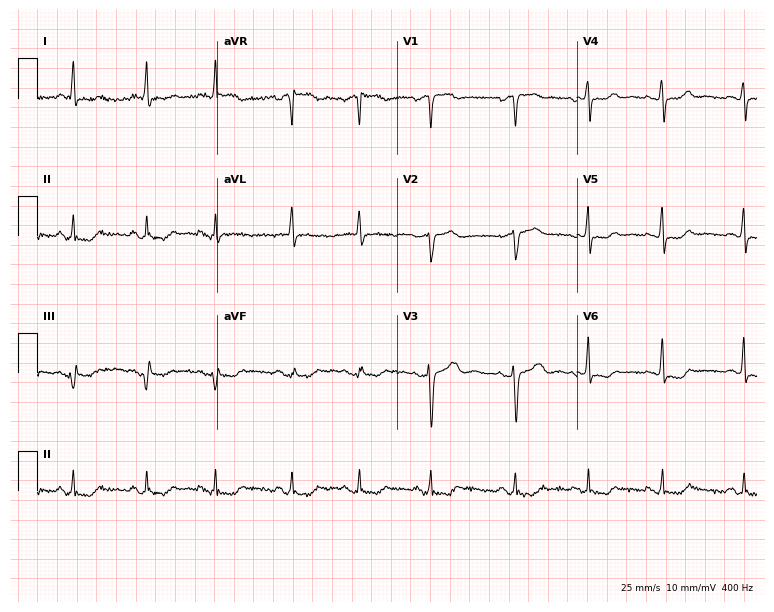
Electrocardiogram, a 49-year-old female patient. Of the six screened findings (first-degree AV block, right bundle branch block, left bundle branch block, sinus bradycardia, atrial fibrillation, sinus tachycardia), none is recorded.